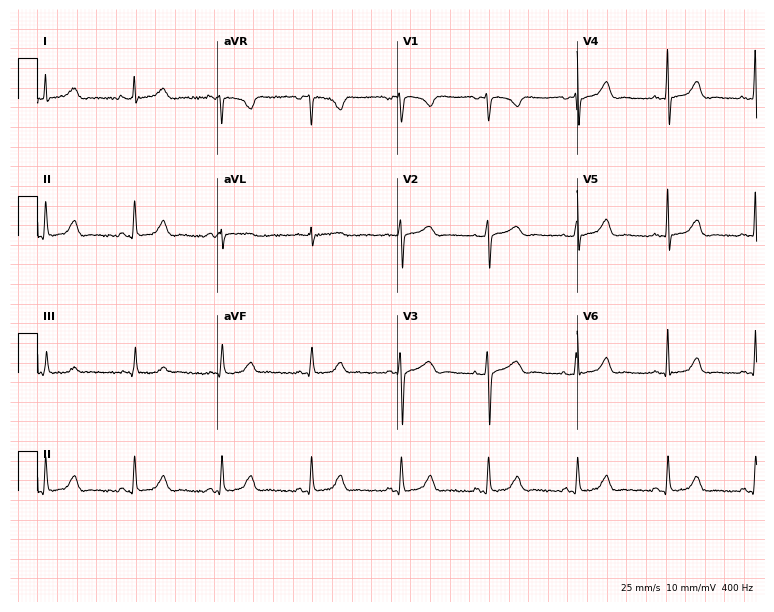
12-lead ECG from a female, 49 years old. Labelled as a normal ECG.